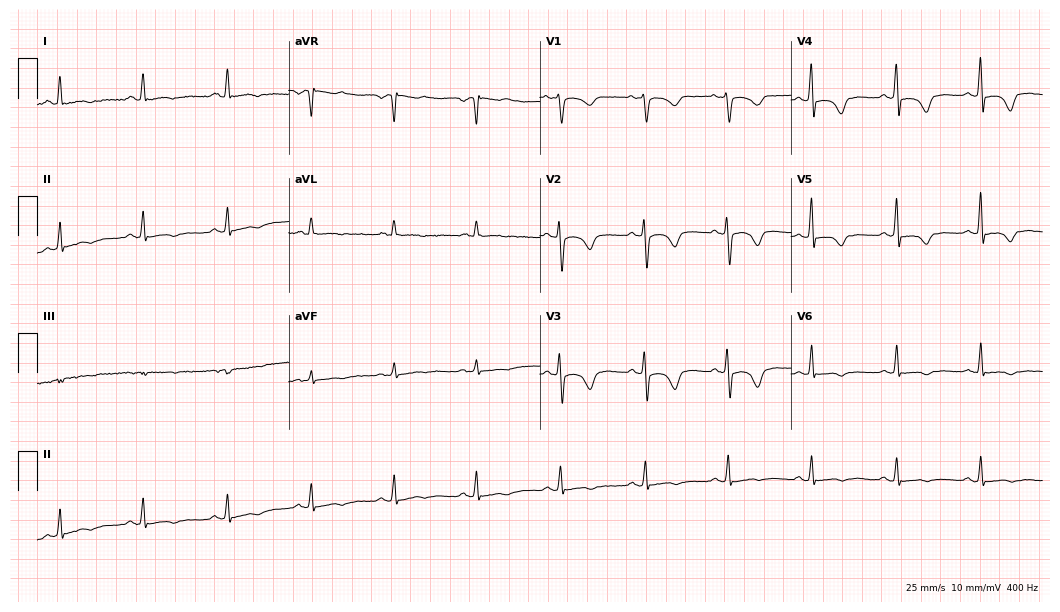
Electrocardiogram (10.2-second recording at 400 Hz), a 50-year-old female patient. Of the six screened findings (first-degree AV block, right bundle branch block, left bundle branch block, sinus bradycardia, atrial fibrillation, sinus tachycardia), none is recorded. Only these six findings were labelled.